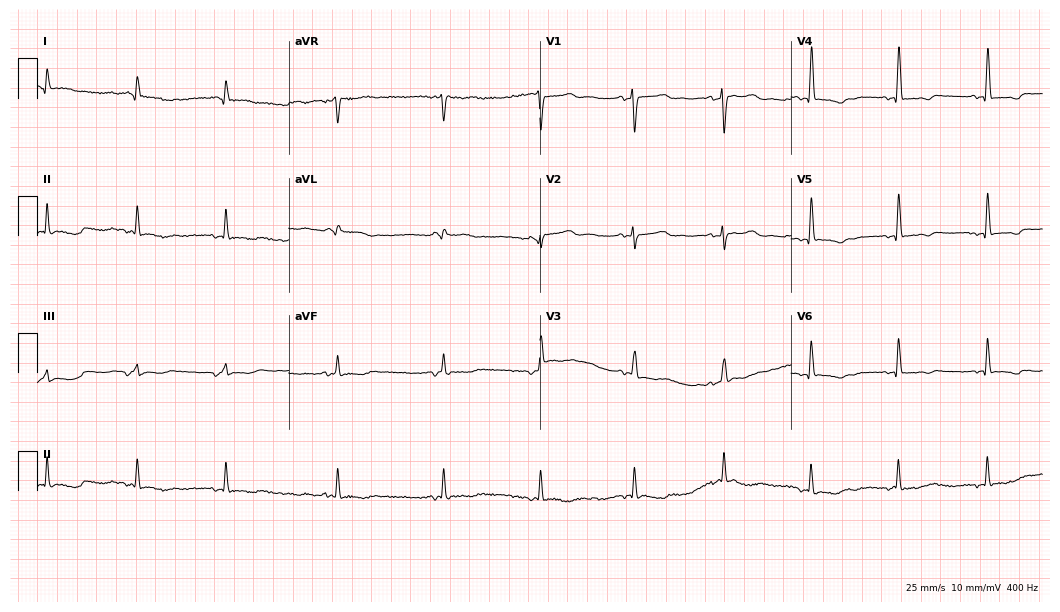
12-lead ECG from a woman, 64 years old (10.2-second recording at 400 Hz). No first-degree AV block, right bundle branch block (RBBB), left bundle branch block (LBBB), sinus bradycardia, atrial fibrillation (AF) or sinus tachycardia recorded for this tracing. Only these six findings were labelled.